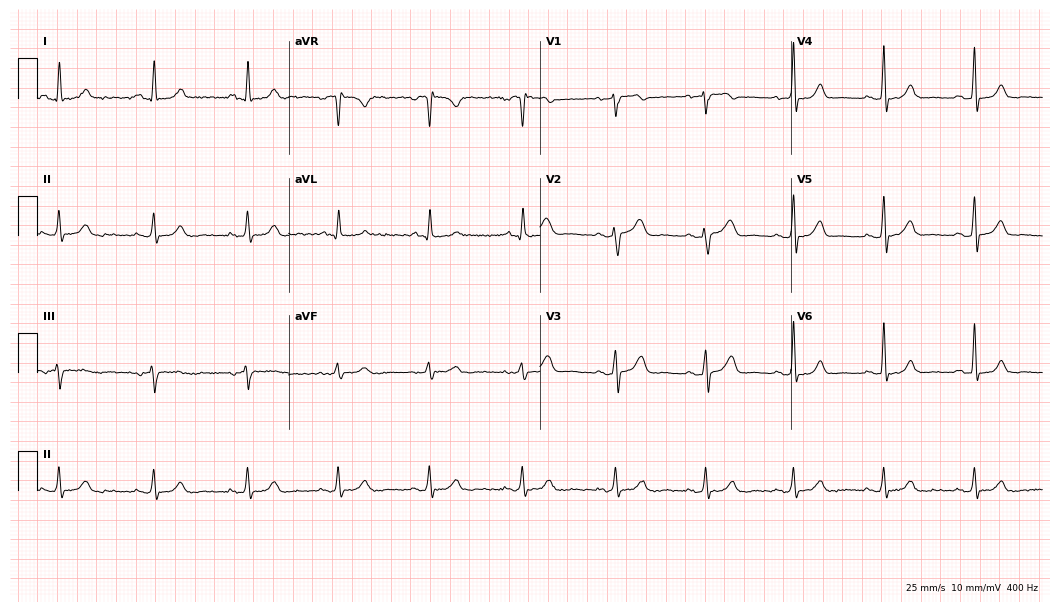
12-lead ECG (10.2-second recording at 400 Hz) from a female, 49 years old. Labelled as a normal ECG.